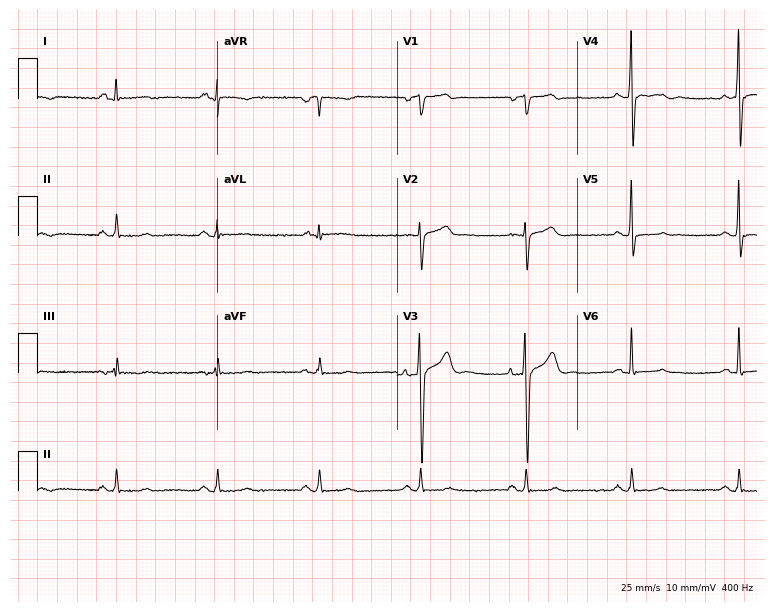
ECG (7.3-second recording at 400 Hz) — a male patient, 58 years old. Screened for six findings — first-degree AV block, right bundle branch block, left bundle branch block, sinus bradycardia, atrial fibrillation, sinus tachycardia — none is recorded.